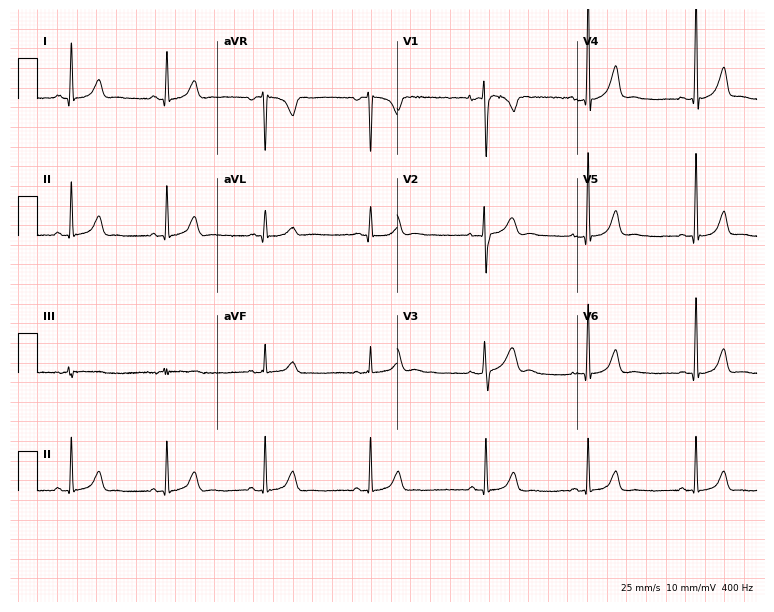
Standard 12-lead ECG recorded from a 38-year-old female (7.3-second recording at 400 Hz). Read as a normal ECG.